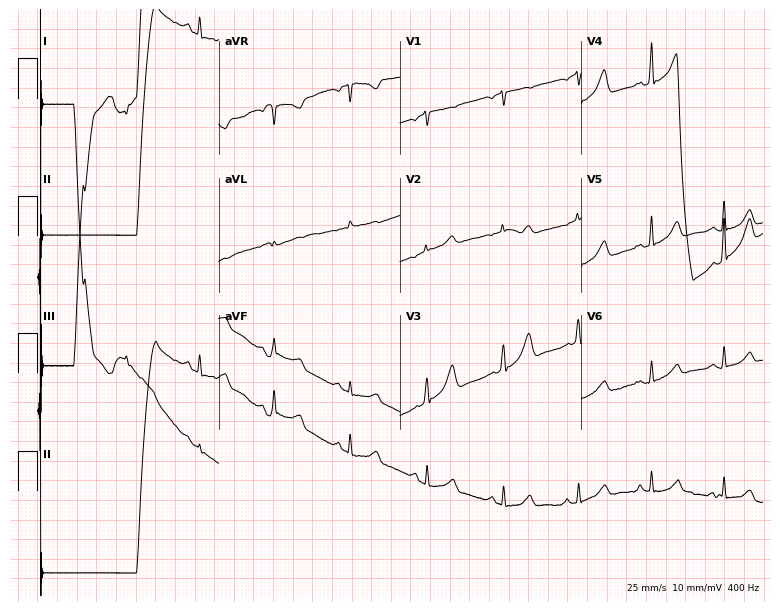
Standard 12-lead ECG recorded from a 46-year-old woman (7.4-second recording at 400 Hz). Read as a normal ECG.